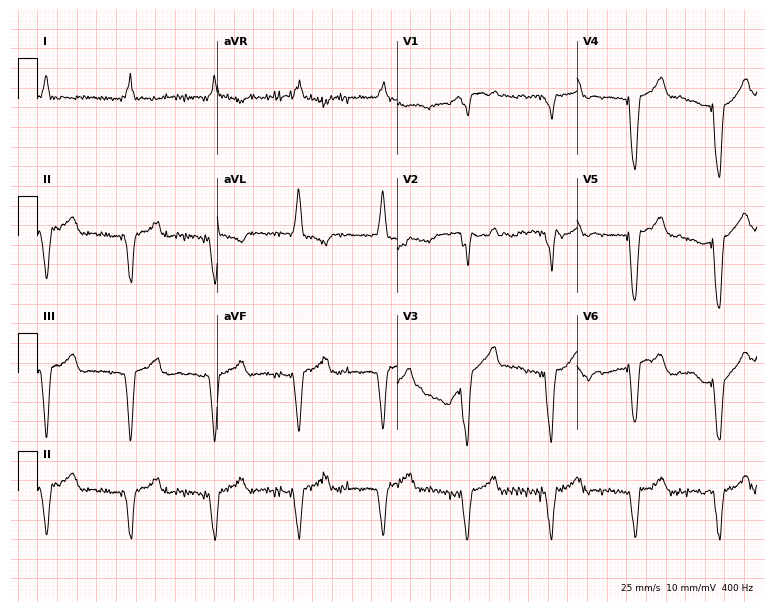
ECG (7.3-second recording at 400 Hz) — a female, 75 years old. Screened for six findings — first-degree AV block, right bundle branch block, left bundle branch block, sinus bradycardia, atrial fibrillation, sinus tachycardia — none is recorded.